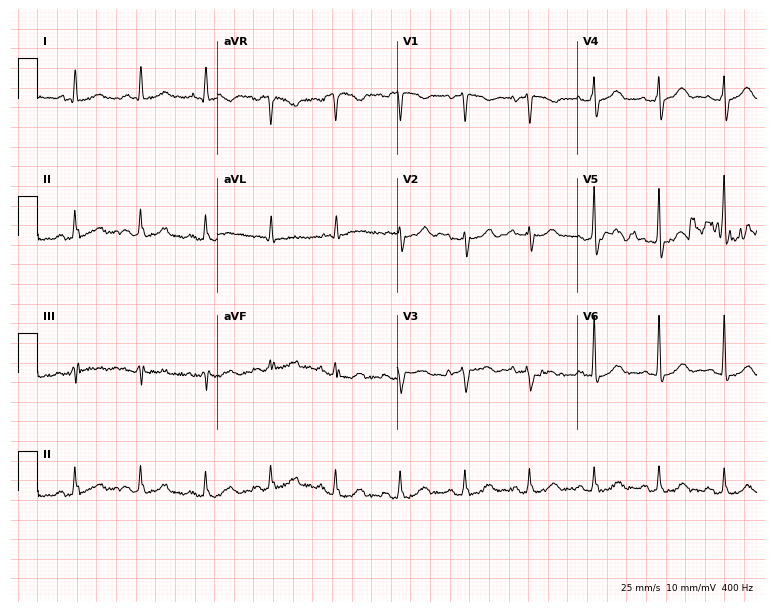
ECG (7.3-second recording at 400 Hz) — a 74-year-old male patient. Labelled as a normal ECG.